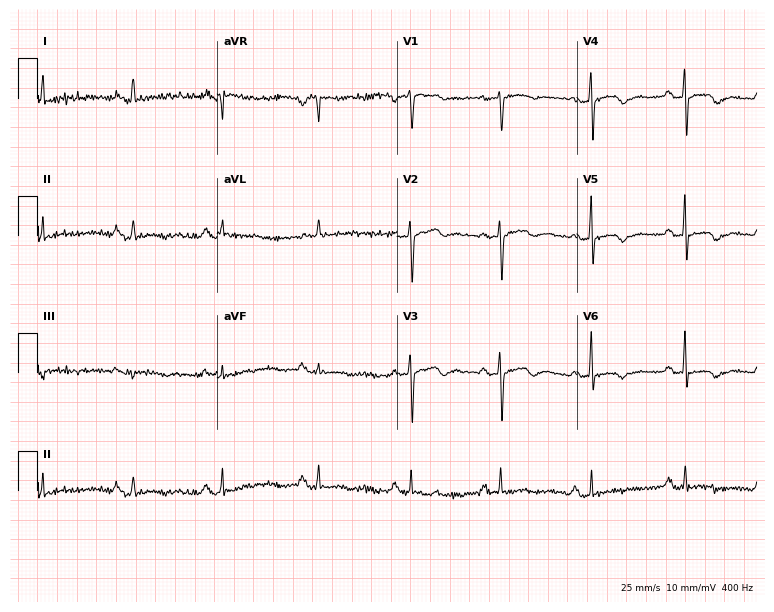
Standard 12-lead ECG recorded from a 58-year-old woman. None of these six findings is recorded: first-degree AV block, right bundle branch block (RBBB), left bundle branch block (LBBB), sinus bradycardia, atrial fibrillation (AF), sinus tachycardia.